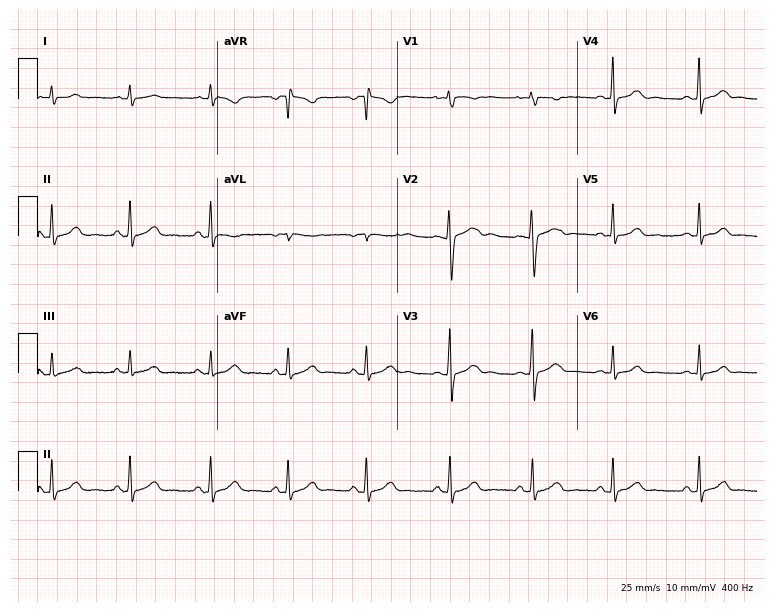
ECG — a 26-year-old female. Screened for six findings — first-degree AV block, right bundle branch block (RBBB), left bundle branch block (LBBB), sinus bradycardia, atrial fibrillation (AF), sinus tachycardia — none is recorded. Findings outside these six are not listed.